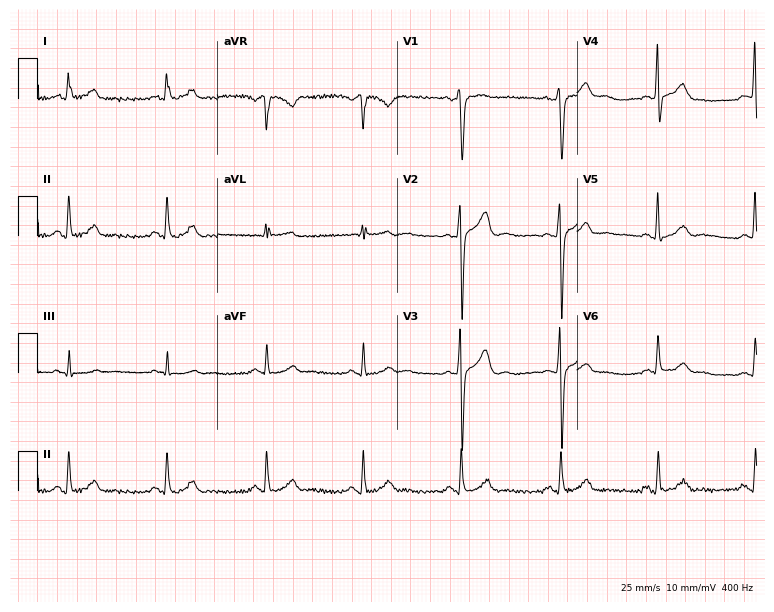
Standard 12-lead ECG recorded from a man, 44 years old. Read as a normal ECG.